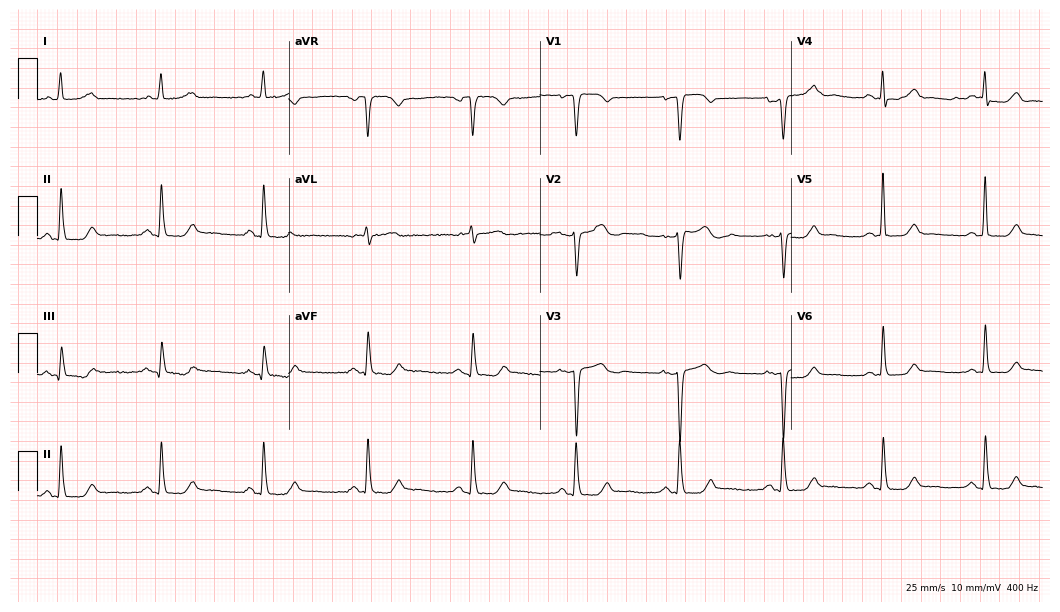
12-lead ECG from a woman, 53 years old. No first-degree AV block, right bundle branch block (RBBB), left bundle branch block (LBBB), sinus bradycardia, atrial fibrillation (AF) or sinus tachycardia recorded for this tracing.